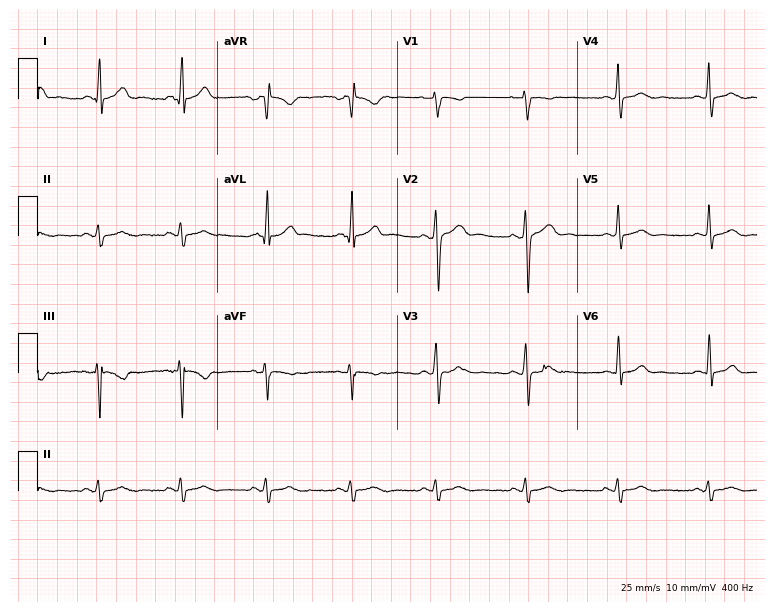
Electrocardiogram, a male patient, 32 years old. Of the six screened findings (first-degree AV block, right bundle branch block, left bundle branch block, sinus bradycardia, atrial fibrillation, sinus tachycardia), none is recorded.